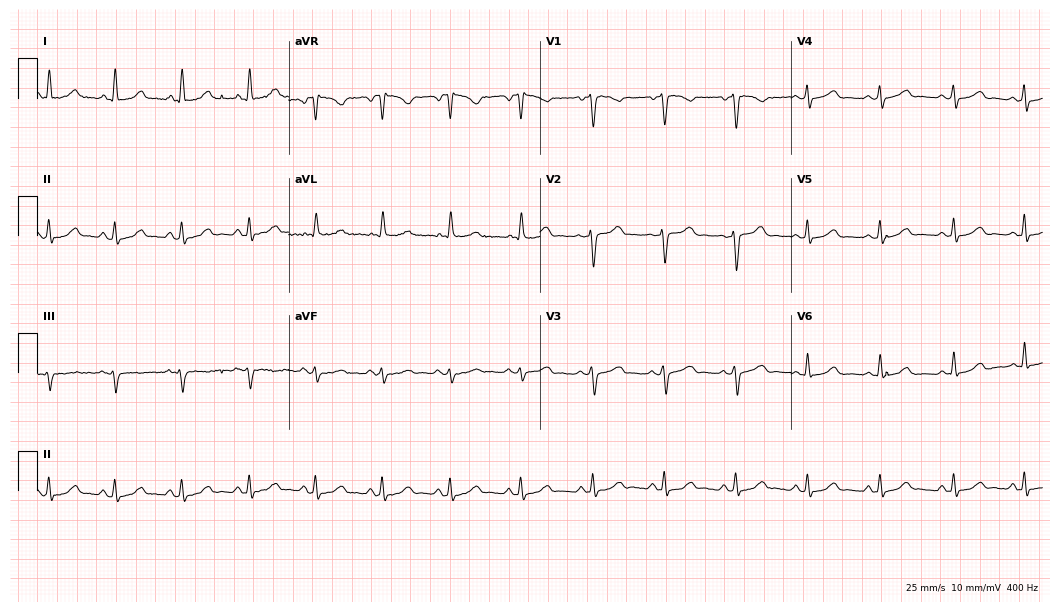
12-lead ECG from a female patient, 37 years old (10.2-second recording at 400 Hz). No first-degree AV block, right bundle branch block (RBBB), left bundle branch block (LBBB), sinus bradycardia, atrial fibrillation (AF) or sinus tachycardia recorded for this tracing. Only these six findings were labelled.